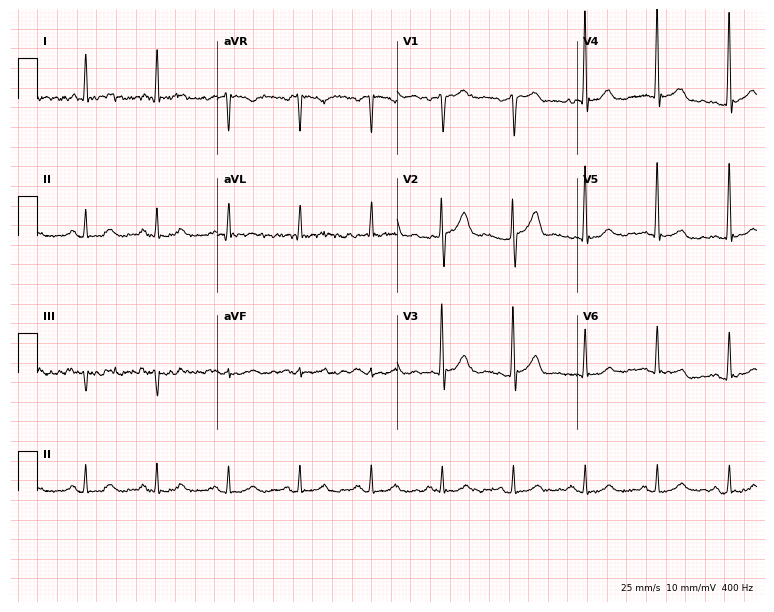
ECG (7.3-second recording at 400 Hz) — a male patient, 68 years old. Labelled as a normal ECG.